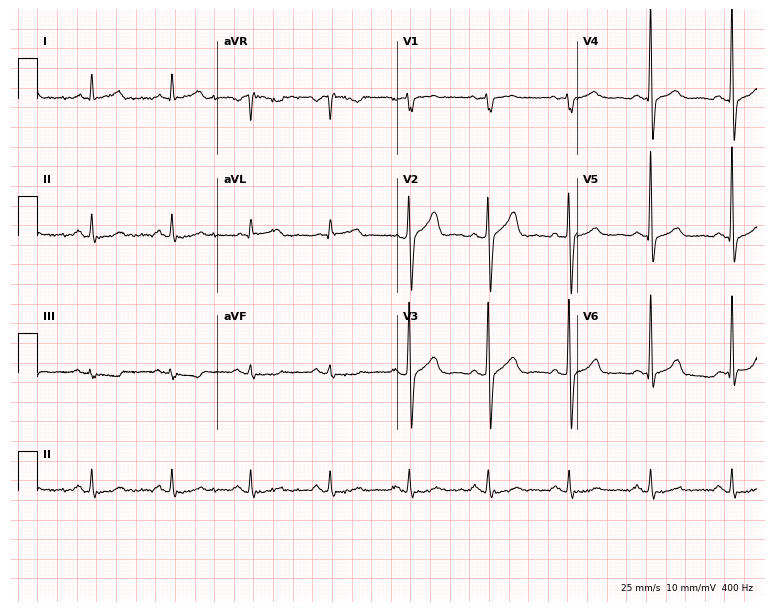
12-lead ECG from a man, 65 years old (7.3-second recording at 400 Hz). No first-degree AV block, right bundle branch block, left bundle branch block, sinus bradycardia, atrial fibrillation or sinus tachycardia recorded for this tracing. Other findings, if any, are not listed.